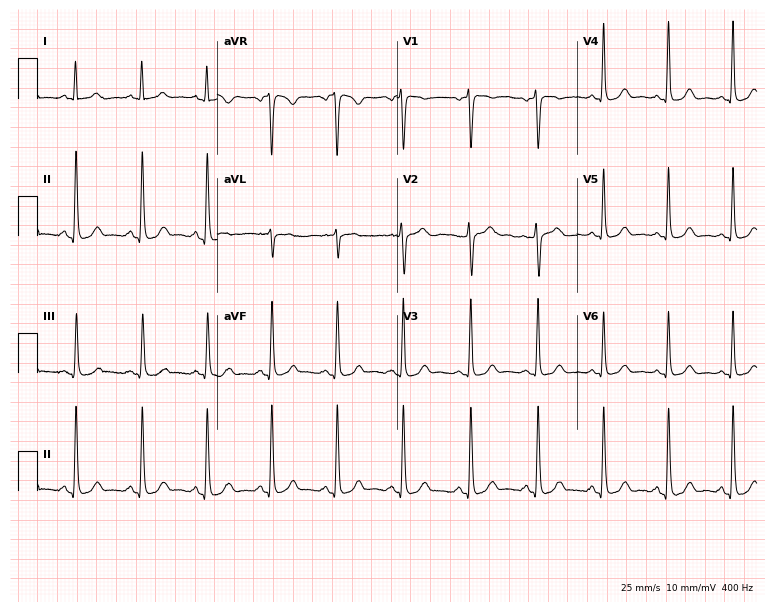
ECG (7.3-second recording at 400 Hz) — a female, 60 years old. Labelled as a normal ECG.